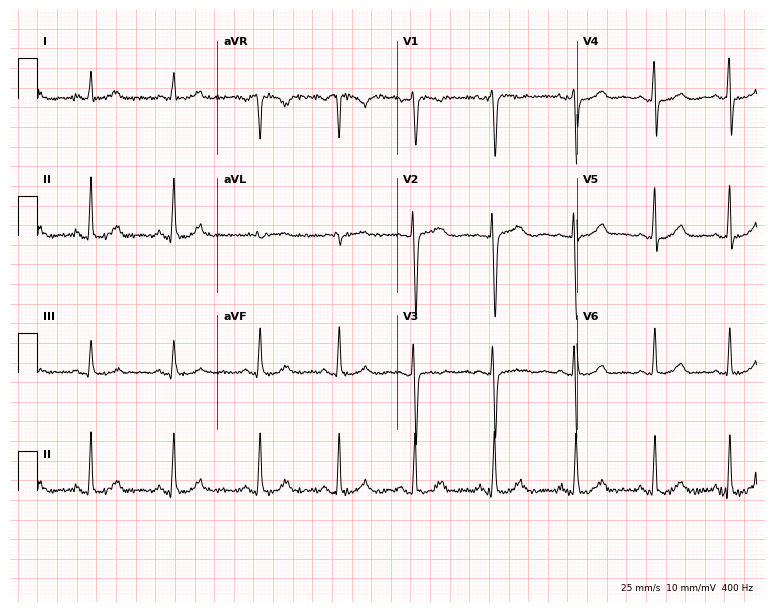
12-lead ECG from a 49-year-old woman (7.3-second recording at 400 Hz). Recorded interpretation: within normal limits.